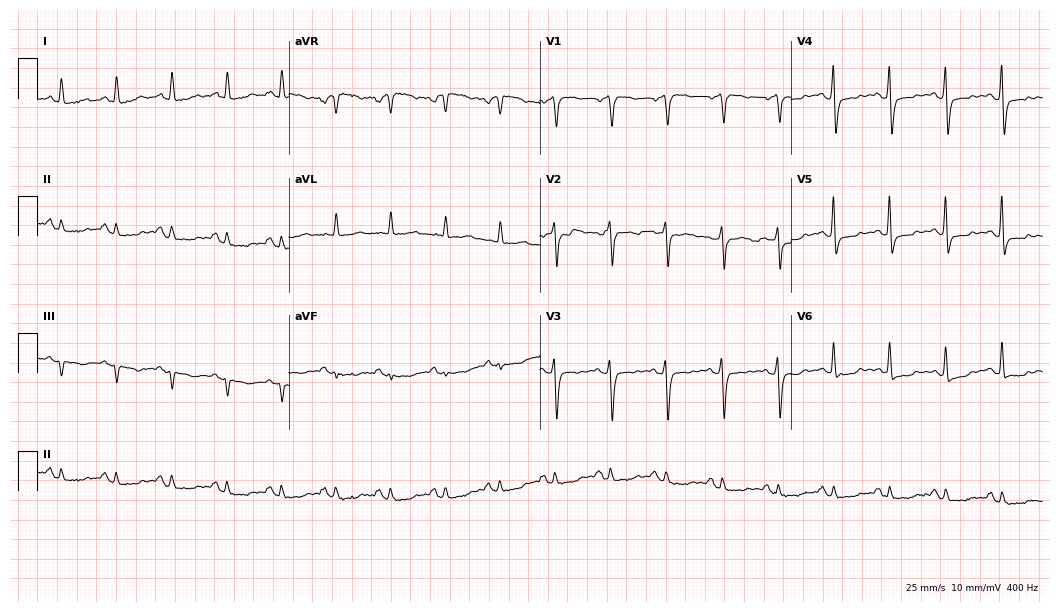
ECG (10.2-second recording at 400 Hz) — a 78-year-old female patient. Screened for six findings — first-degree AV block, right bundle branch block, left bundle branch block, sinus bradycardia, atrial fibrillation, sinus tachycardia — none is recorded.